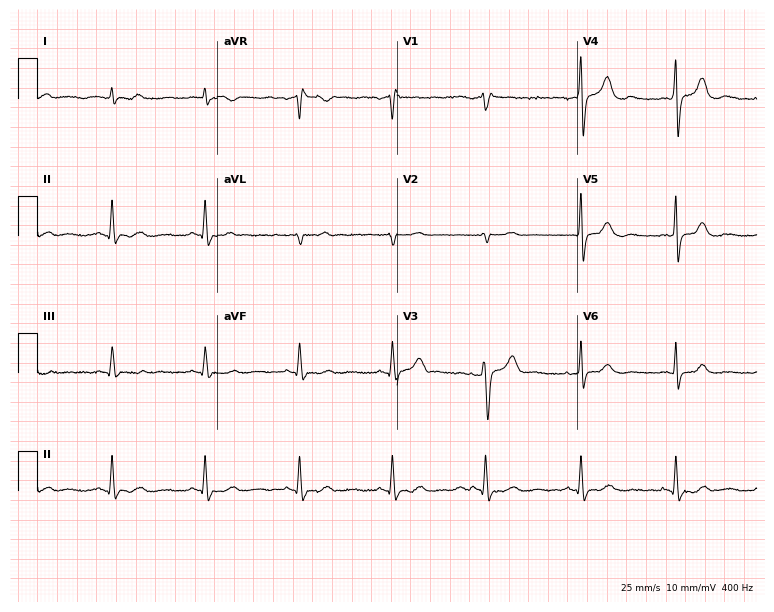
Standard 12-lead ECG recorded from a 52-year-old man. The tracing shows right bundle branch block.